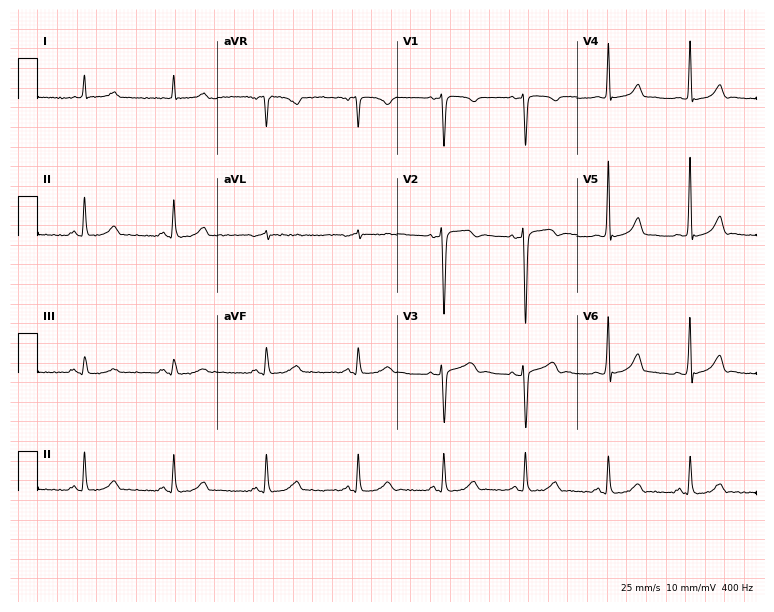
ECG (7.3-second recording at 400 Hz) — a 52-year-old female patient. Screened for six findings — first-degree AV block, right bundle branch block, left bundle branch block, sinus bradycardia, atrial fibrillation, sinus tachycardia — none is recorded.